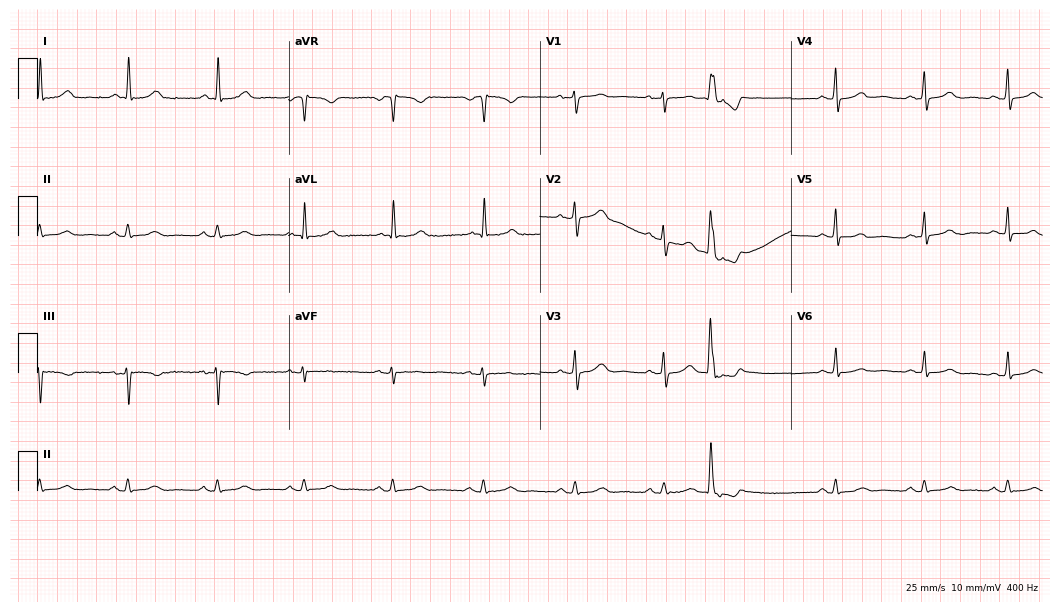
ECG (10.2-second recording at 400 Hz) — a 67-year-old female patient. Labelled as a normal ECG.